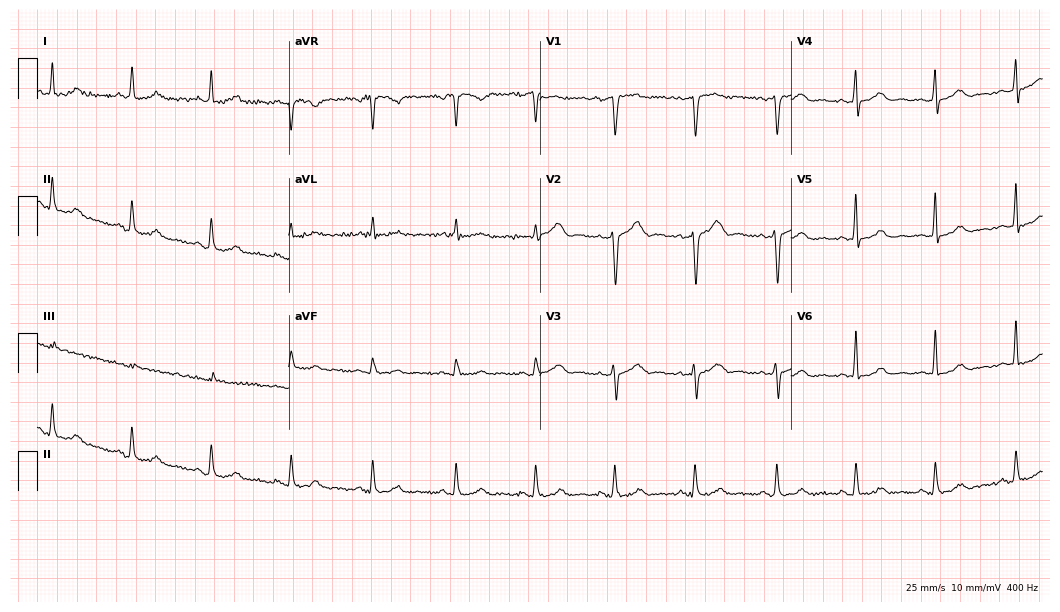
Resting 12-lead electrocardiogram (10.2-second recording at 400 Hz). Patient: a 46-year-old female. Read as a normal ECG.